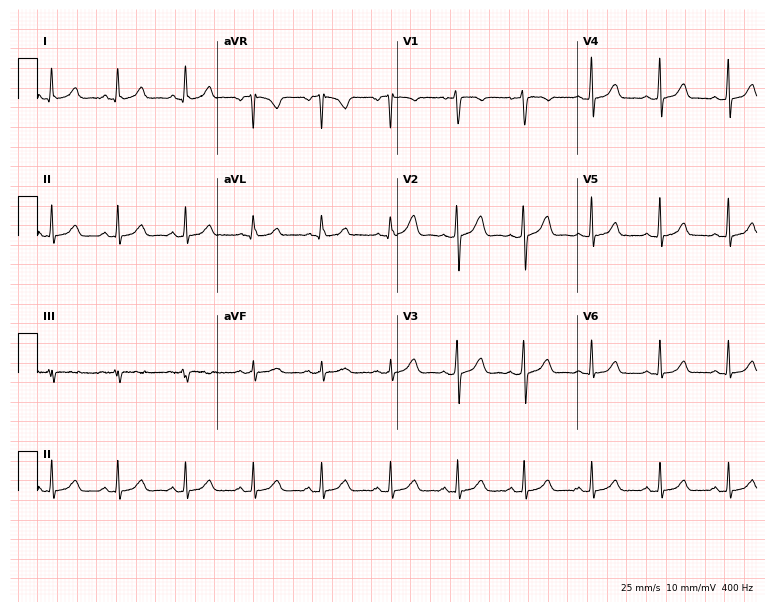
12-lead ECG (7.3-second recording at 400 Hz) from a female patient, 44 years old. Screened for six findings — first-degree AV block, right bundle branch block, left bundle branch block, sinus bradycardia, atrial fibrillation, sinus tachycardia — none is recorded.